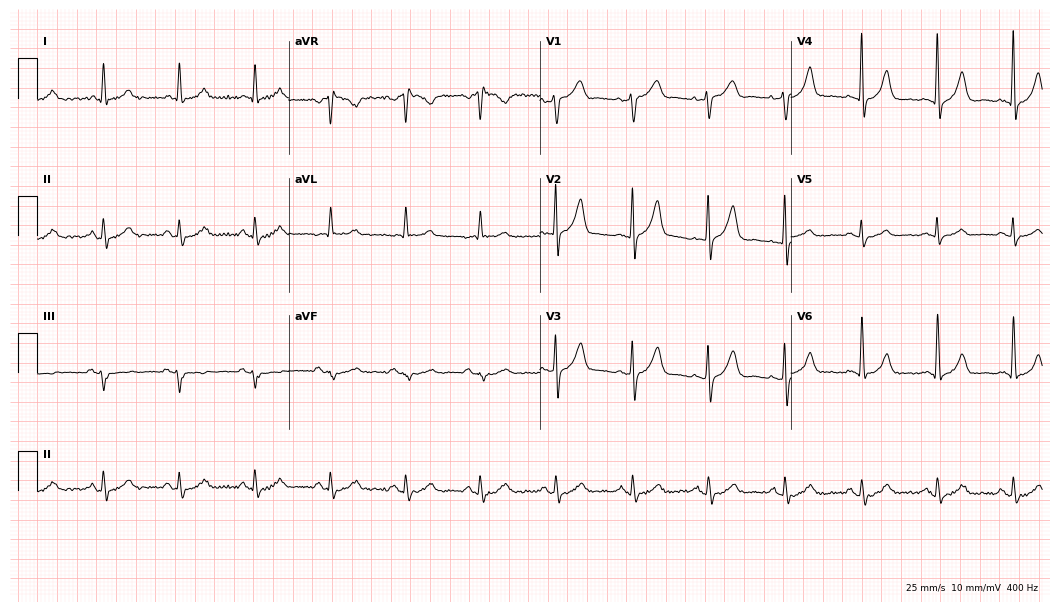
12-lead ECG from a male, 65 years old (10.2-second recording at 400 Hz). Recorded interpretation: within normal limits.